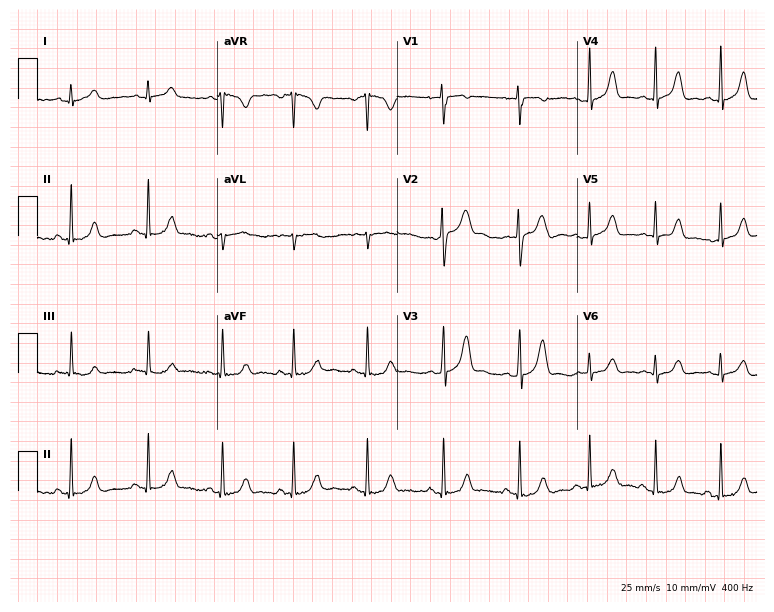
12-lead ECG from a 21-year-old woman (7.3-second recording at 400 Hz). Recorded interpretation: within normal limits.